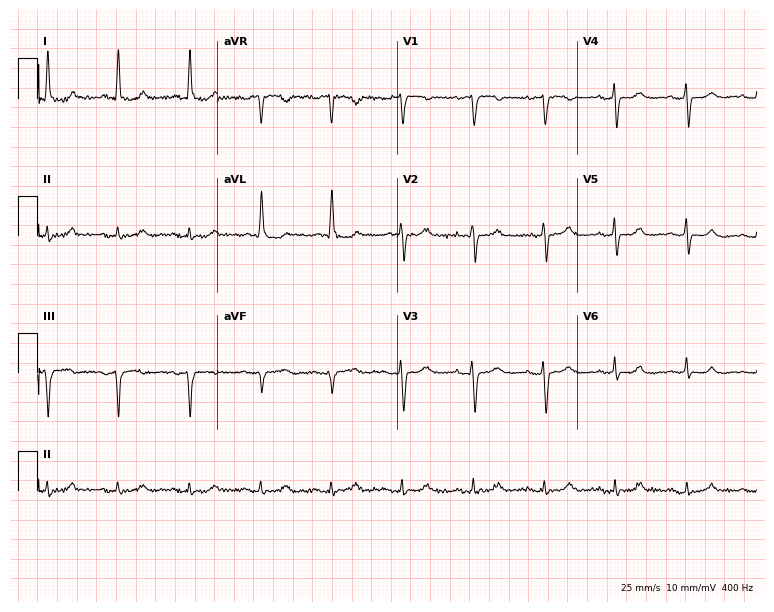
ECG — an 82-year-old male patient. Screened for six findings — first-degree AV block, right bundle branch block, left bundle branch block, sinus bradycardia, atrial fibrillation, sinus tachycardia — none is recorded.